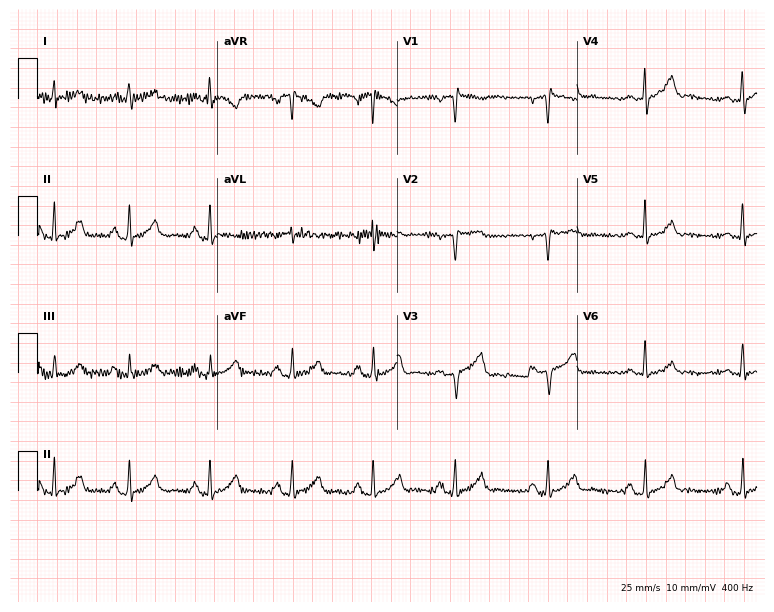
12-lead ECG from a 59-year-old female patient (7.3-second recording at 400 Hz). Recorded interpretation: within normal limits.